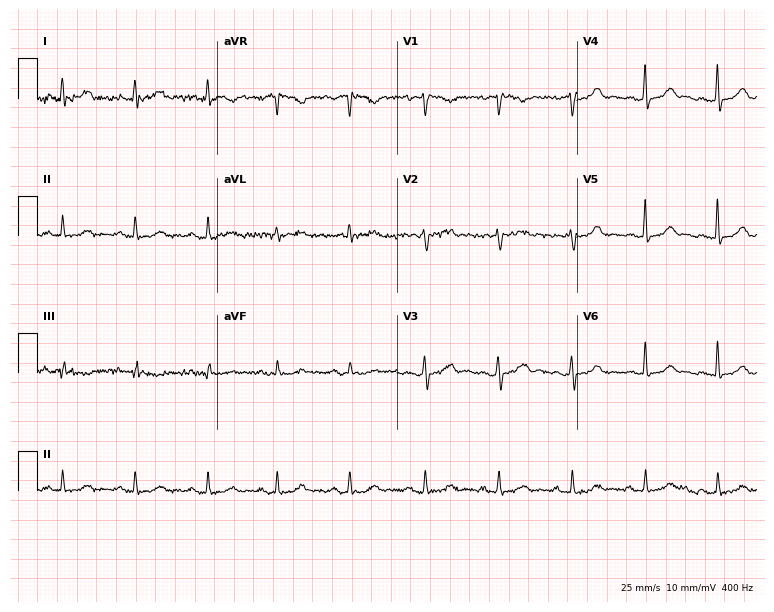
Standard 12-lead ECG recorded from a woman, 51 years old (7.3-second recording at 400 Hz). Read as a normal ECG.